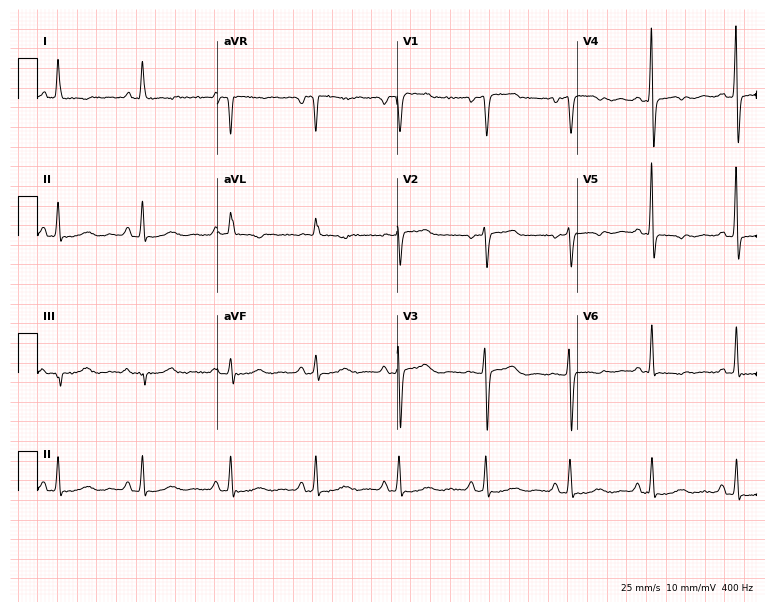
12-lead ECG from a woman, 58 years old (7.3-second recording at 400 Hz). No first-degree AV block, right bundle branch block (RBBB), left bundle branch block (LBBB), sinus bradycardia, atrial fibrillation (AF) or sinus tachycardia recorded for this tracing. Other findings, if any, are not listed.